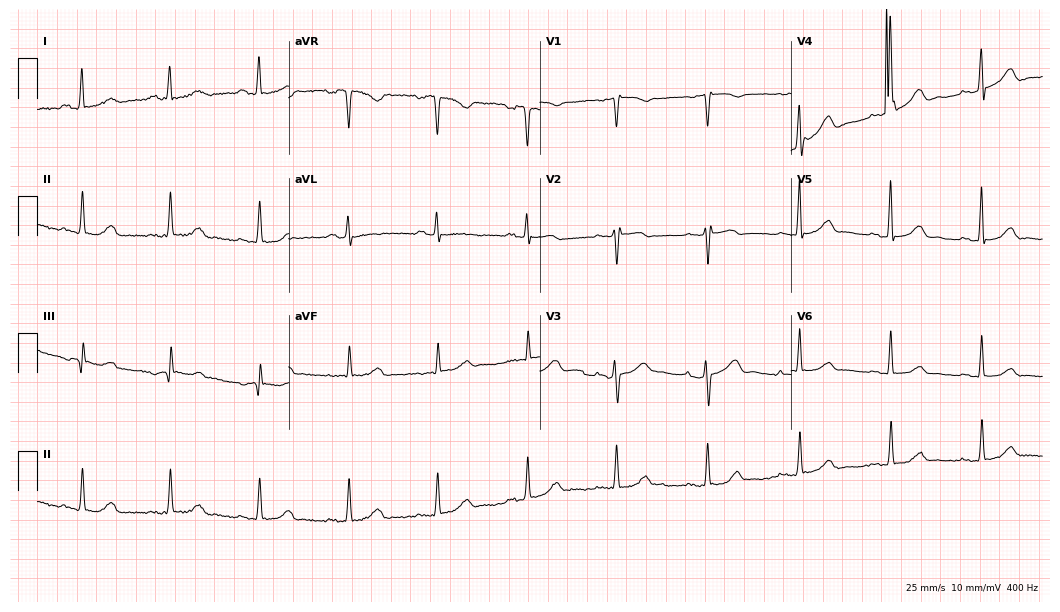
ECG (10.2-second recording at 400 Hz) — a 66-year-old woman. Labelled as a normal ECG.